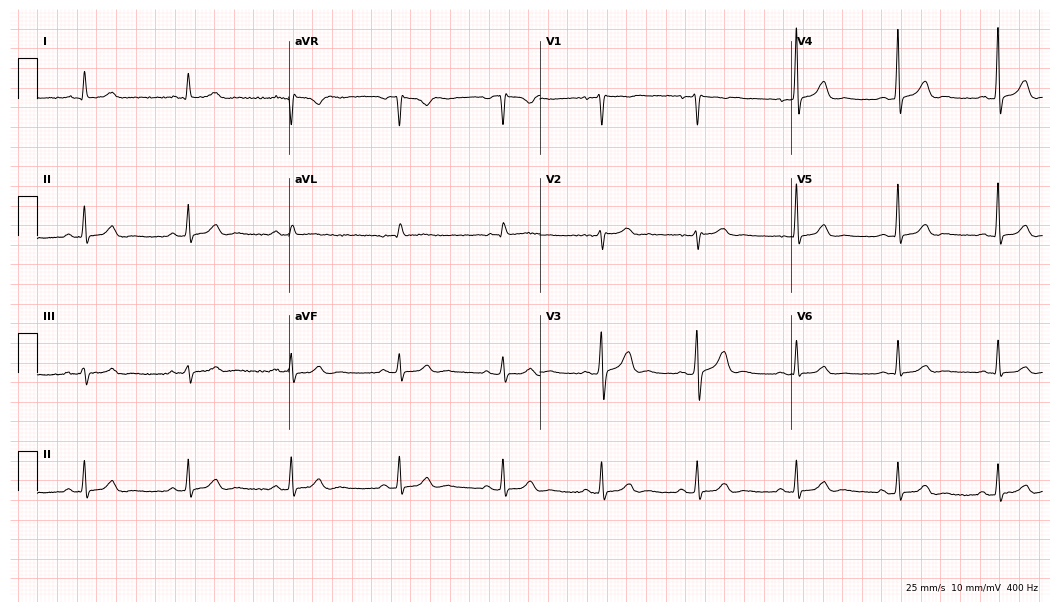
12-lead ECG from a woman, 57 years old (10.2-second recording at 400 Hz). Recorded interpretation: within normal limits.